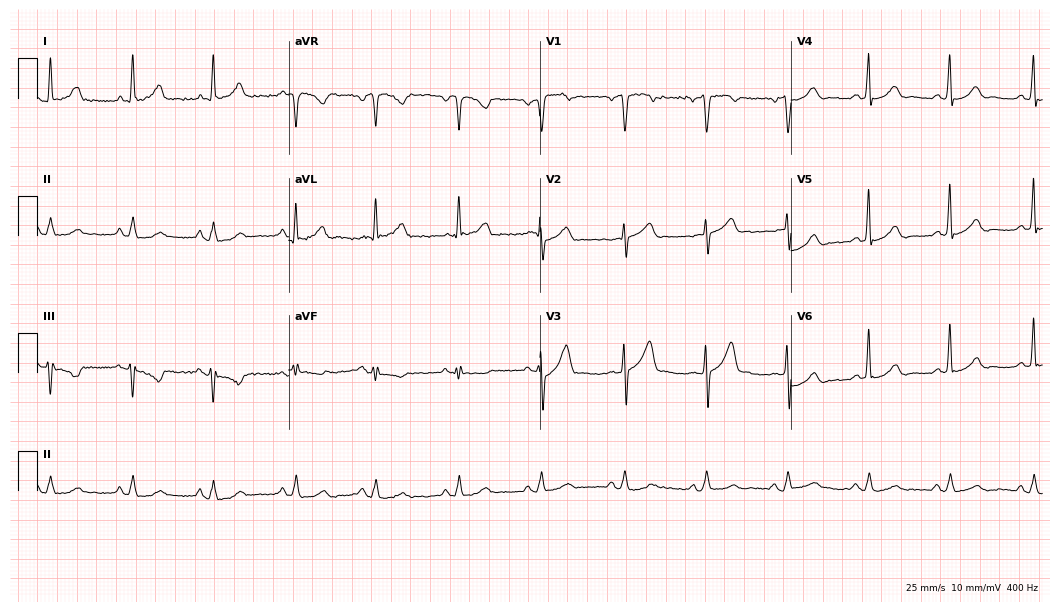
12-lead ECG from a male, 58 years old. Screened for six findings — first-degree AV block, right bundle branch block, left bundle branch block, sinus bradycardia, atrial fibrillation, sinus tachycardia — none is recorded. Other findings, if any, are not listed.